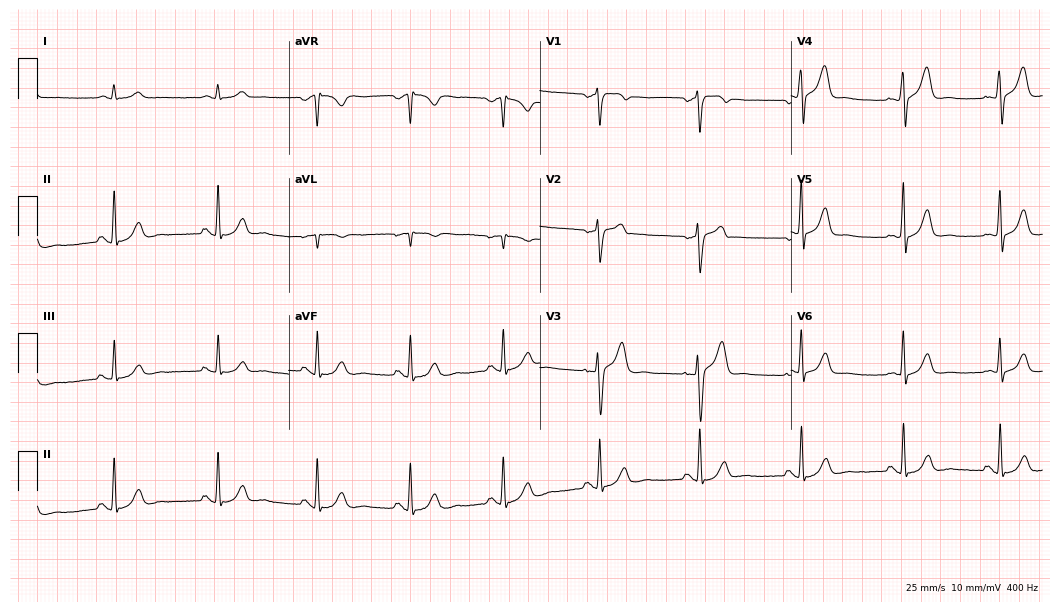
Resting 12-lead electrocardiogram. Patient: a 52-year-old man. Read as a normal ECG.